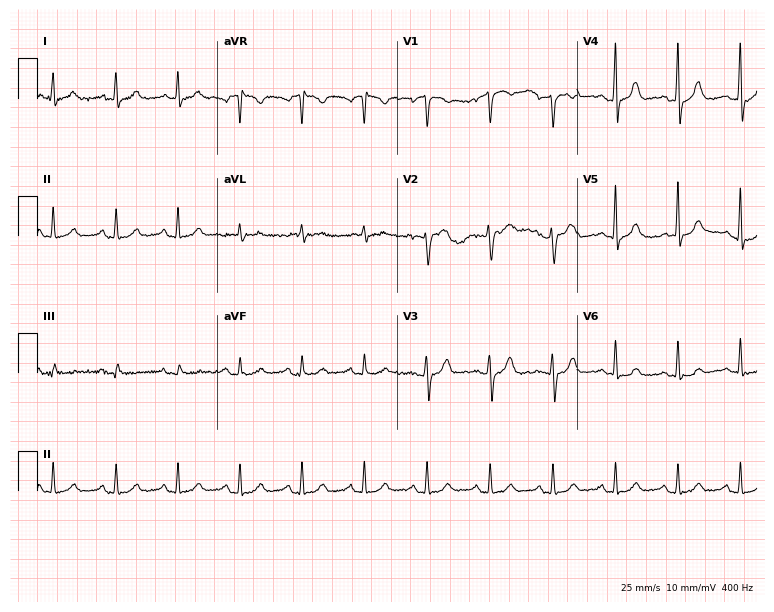
Standard 12-lead ECG recorded from a female, 41 years old. None of these six findings is recorded: first-degree AV block, right bundle branch block, left bundle branch block, sinus bradycardia, atrial fibrillation, sinus tachycardia.